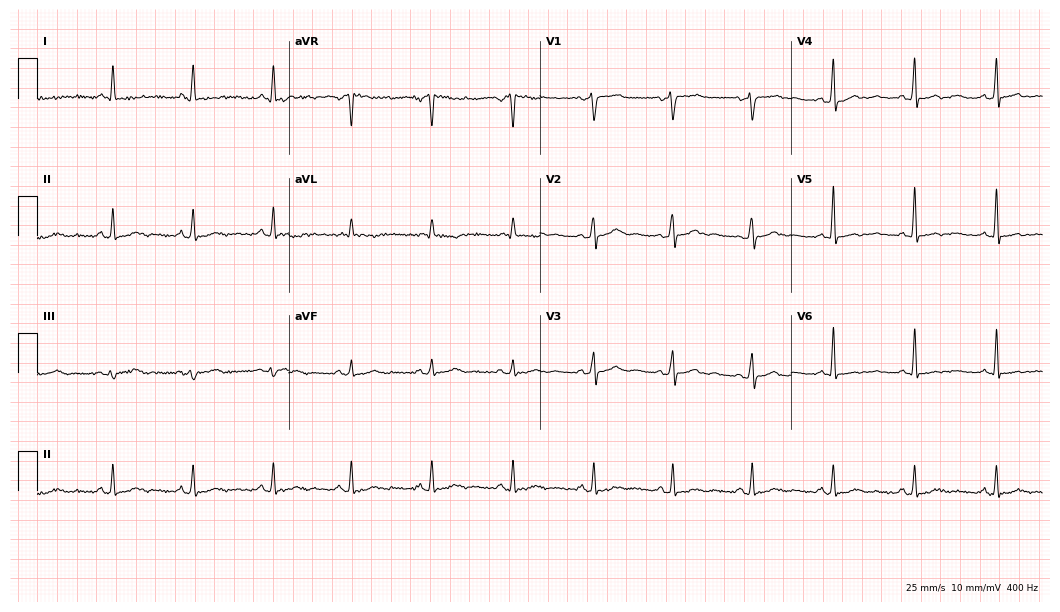
ECG — a 50-year-old female. Screened for six findings — first-degree AV block, right bundle branch block, left bundle branch block, sinus bradycardia, atrial fibrillation, sinus tachycardia — none is recorded. Only these six findings were labelled.